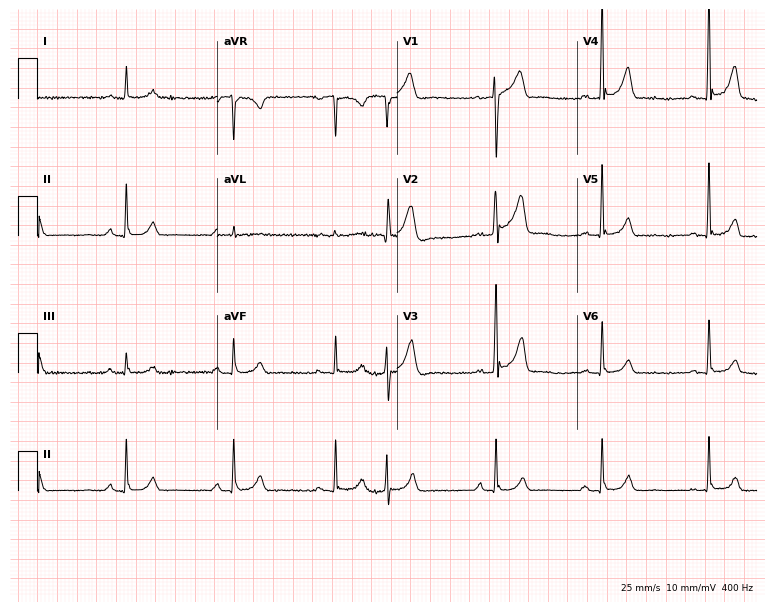
12-lead ECG from a male, 70 years old. Recorded interpretation: within normal limits.